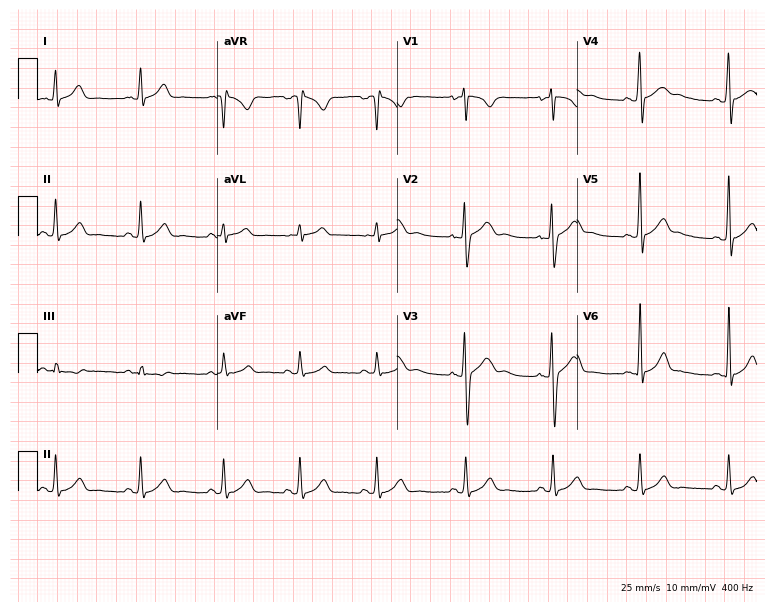
Resting 12-lead electrocardiogram (7.3-second recording at 400 Hz). Patient: a 21-year-old man. None of these six findings is recorded: first-degree AV block, right bundle branch block, left bundle branch block, sinus bradycardia, atrial fibrillation, sinus tachycardia. Findings outside these six are not listed.